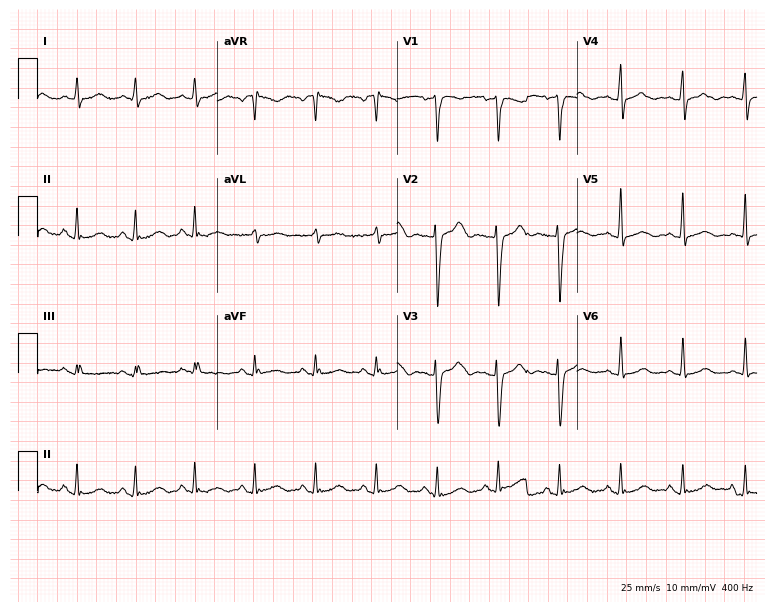
Electrocardiogram (7.3-second recording at 400 Hz), a man, 42 years old. Overall reading on record: normal ECG.